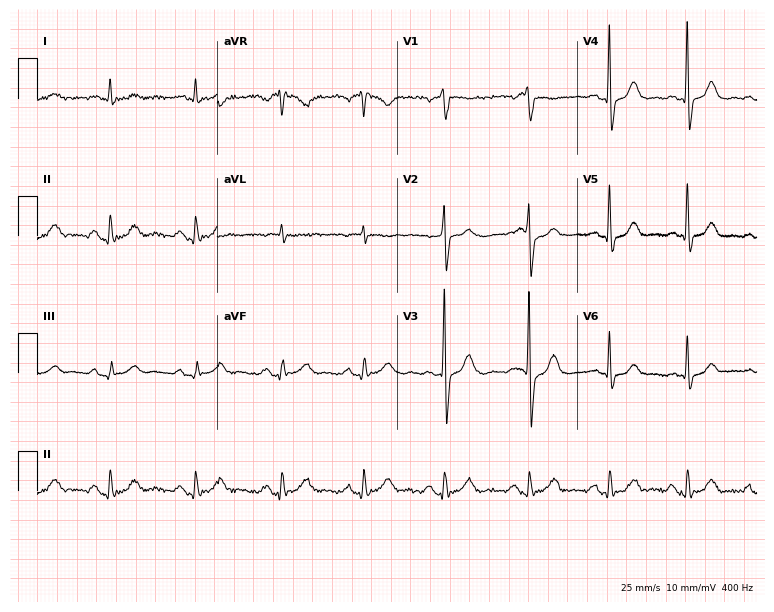
12-lead ECG from a male, 61 years old. Screened for six findings — first-degree AV block, right bundle branch block, left bundle branch block, sinus bradycardia, atrial fibrillation, sinus tachycardia — none is recorded. Only these six findings were labelled.